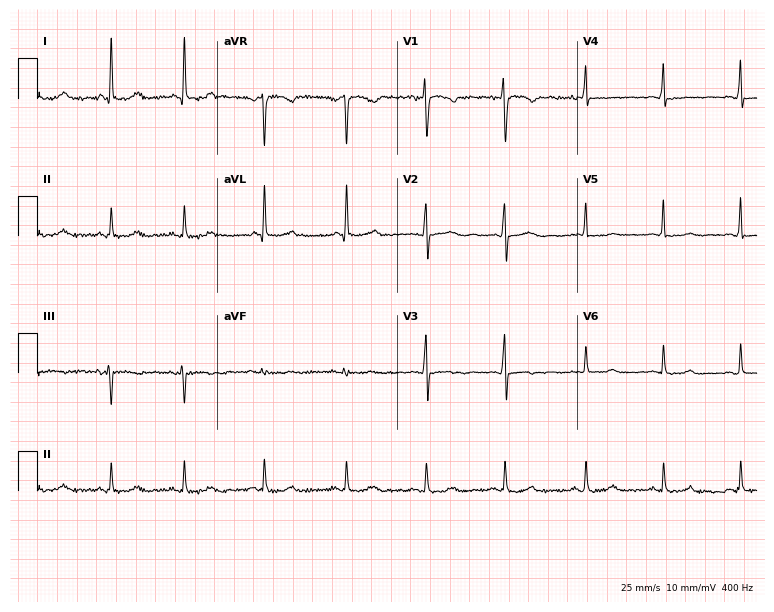
ECG — a woman, 40 years old. Screened for six findings — first-degree AV block, right bundle branch block, left bundle branch block, sinus bradycardia, atrial fibrillation, sinus tachycardia — none is recorded.